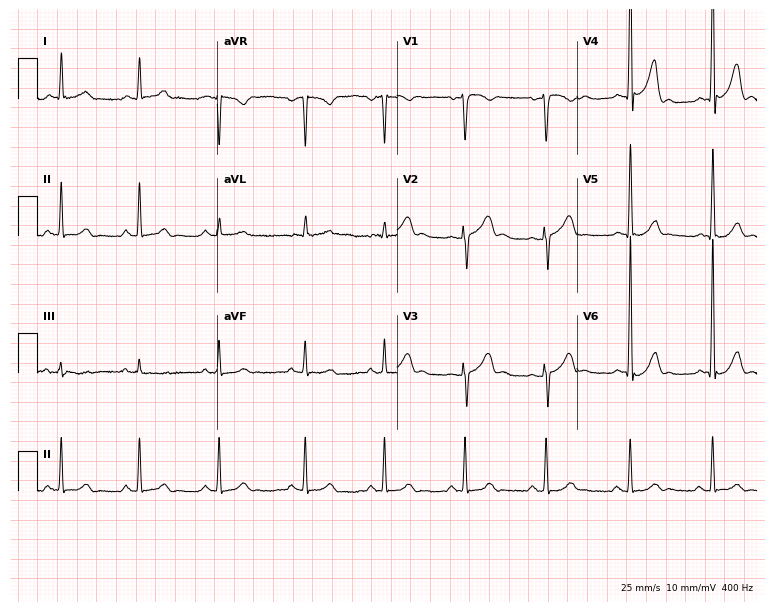
12-lead ECG from a man, 54 years old. Screened for six findings — first-degree AV block, right bundle branch block, left bundle branch block, sinus bradycardia, atrial fibrillation, sinus tachycardia — none is recorded.